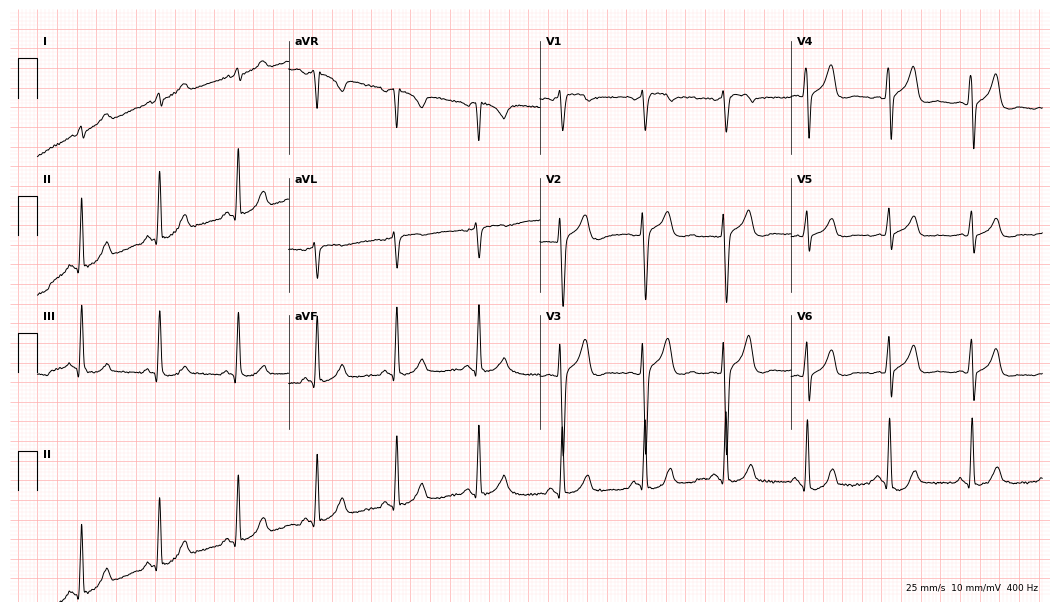
Electrocardiogram (10.2-second recording at 400 Hz), a male patient, 46 years old. Of the six screened findings (first-degree AV block, right bundle branch block (RBBB), left bundle branch block (LBBB), sinus bradycardia, atrial fibrillation (AF), sinus tachycardia), none is recorded. Only these six findings were labelled.